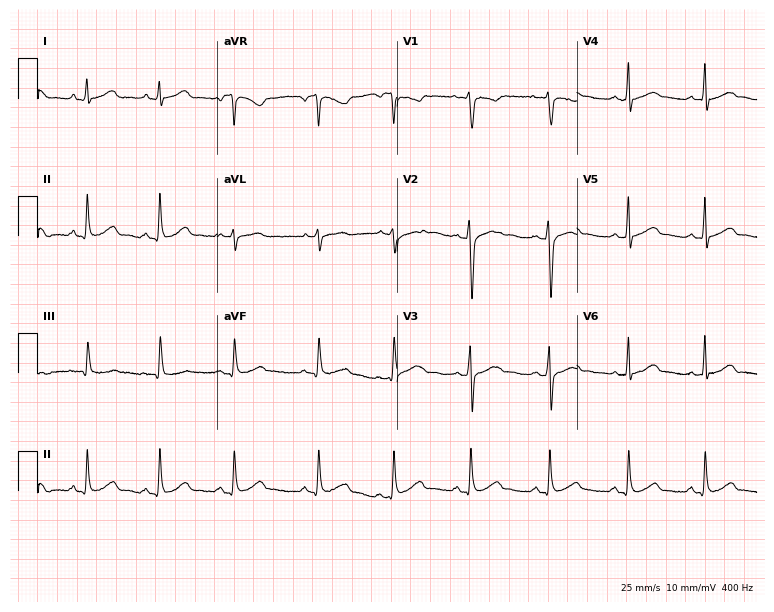
12-lead ECG from a female patient, 29 years old (7.3-second recording at 400 Hz). Recorded interpretation: within normal limits.